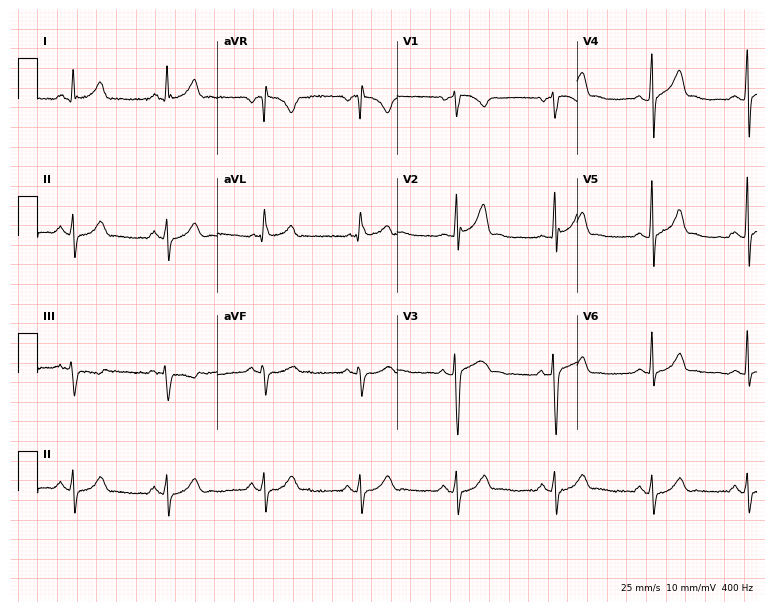
12-lead ECG from a 50-year-old male patient. Screened for six findings — first-degree AV block, right bundle branch block, left bundle branch block, sinus bradycardia, atrial fibrillation, sinus tachycardia — none is recorded.